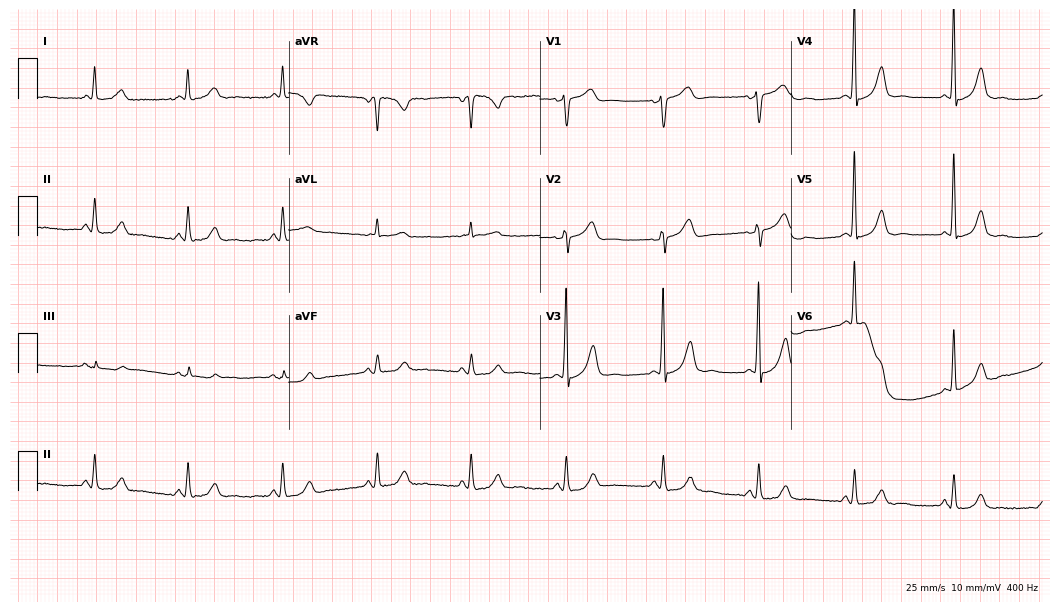
Resting 12-lead electrocardiogram (10.2-second recording at 400 Hz). Patient: a woman, 67 years old. Read as a normal ECG.